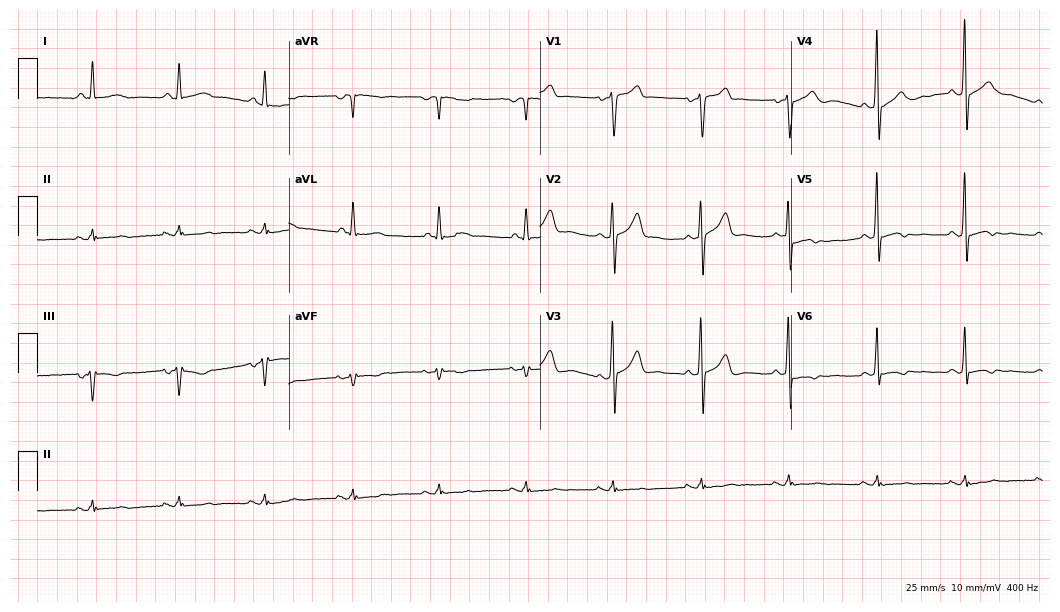
Standard 12-lead ECG recorded from a 69-year-old man. None of these six findings is recorded: first-degree AV block, right bundle branch block, left bundle branch block, sinus bradycardia, atrial fibrillation, sinus tachycardia. Findings outside these six are not listed.